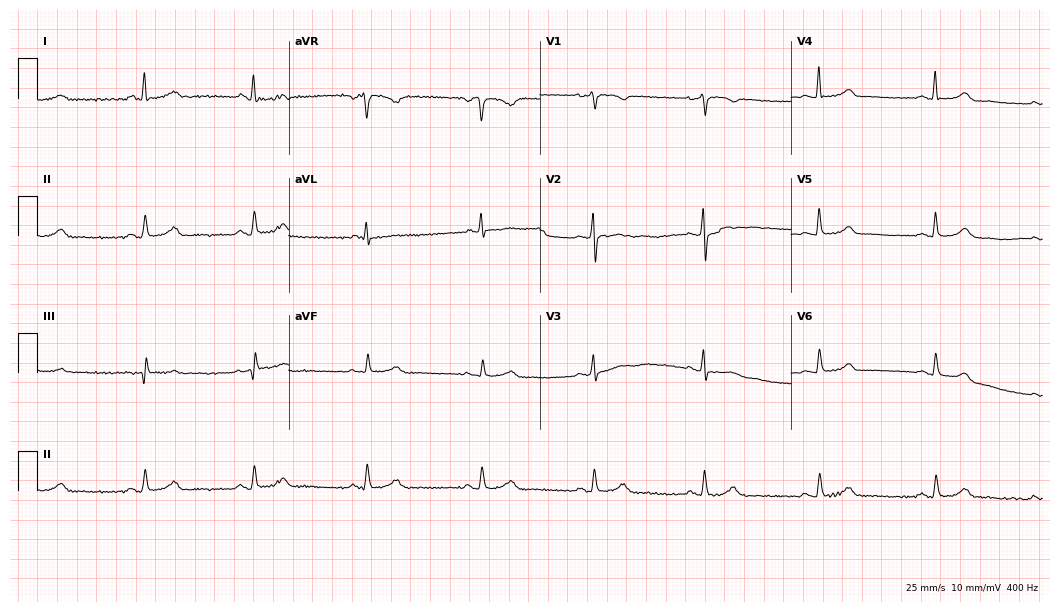
ECG — a female patient, 70 years old. Screened for six findings — first-degree AV block, right bundle branch block, left bundle branch block, sinus bradycardia, atrial fibrillation, sinus tachycardia — none is recorded. Only these six findings were labelled.